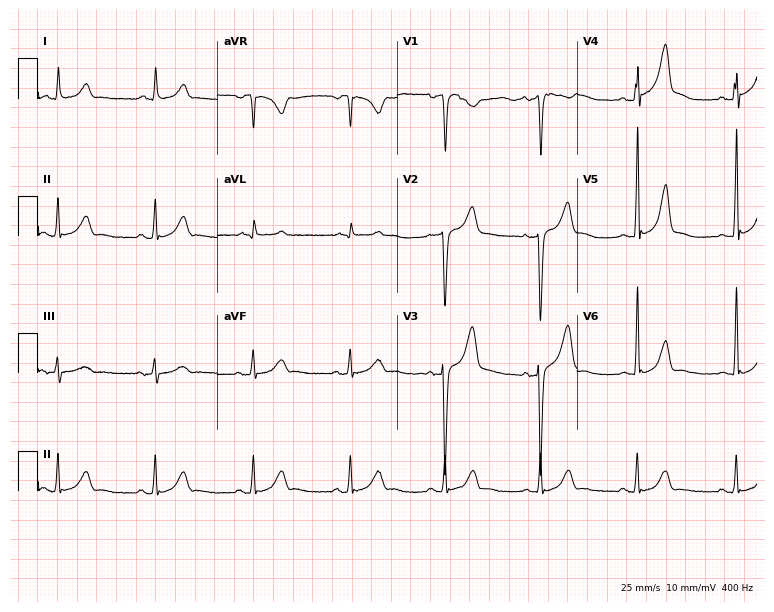
ECG — a man, 66 years old. Screened for six findings — first-degree AV block, right bundle branch block, left bundle branch block, sinus bradycardia, atrial fibrillation, sinus tachycardia — none is recorded.